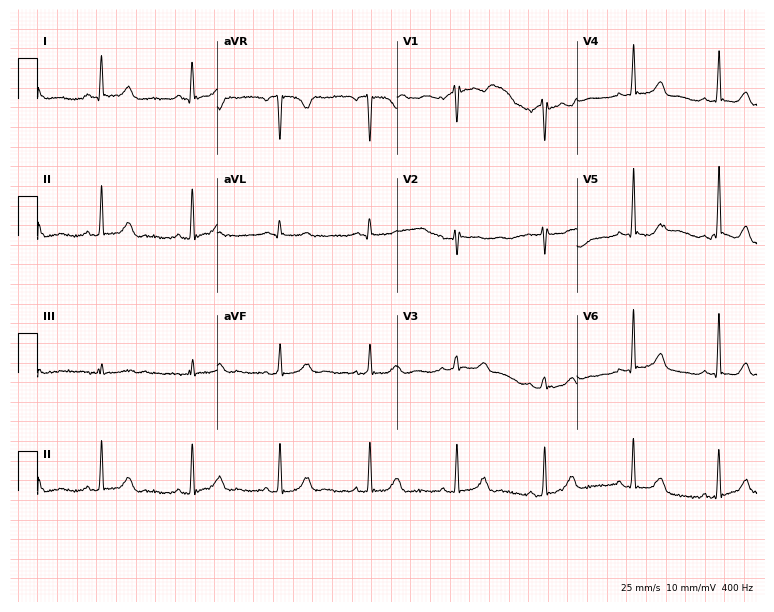
12-lead ECG from a 38-year-old female patient (7.3-second recording at 400 Hz). Recorded interpretation: within normal limits.